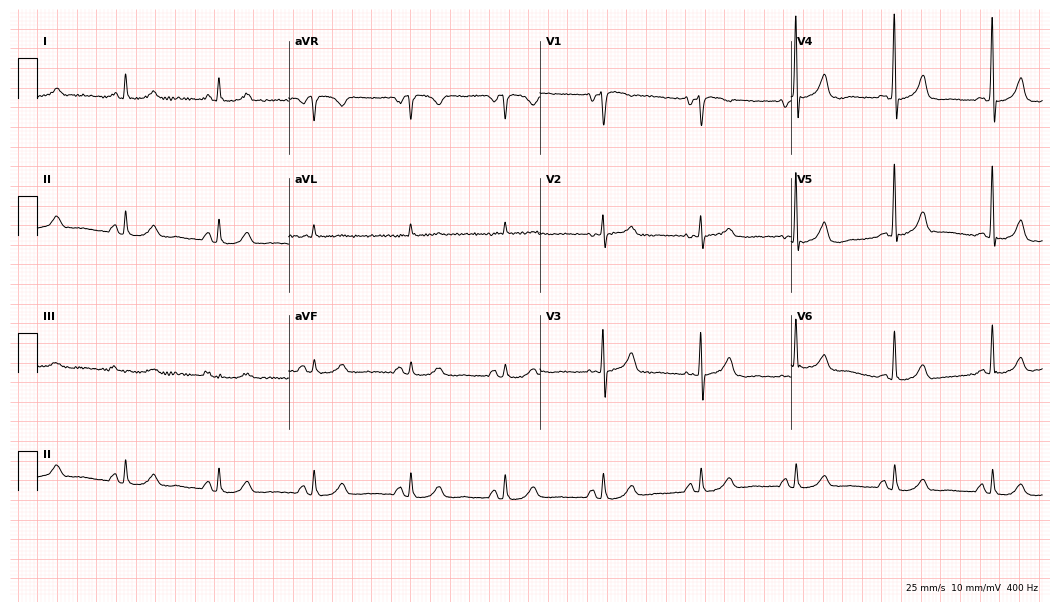
ECG (10.2-second recording at 400 Hz) — a man, 62 years old. Screened for six findings — first-degree AV block, right bundle branch block (RBBB), left bundle branch block (LBBB), sinus bradycardia, atrial fibrillation (AF), sinus tachycardia — none is recorded.